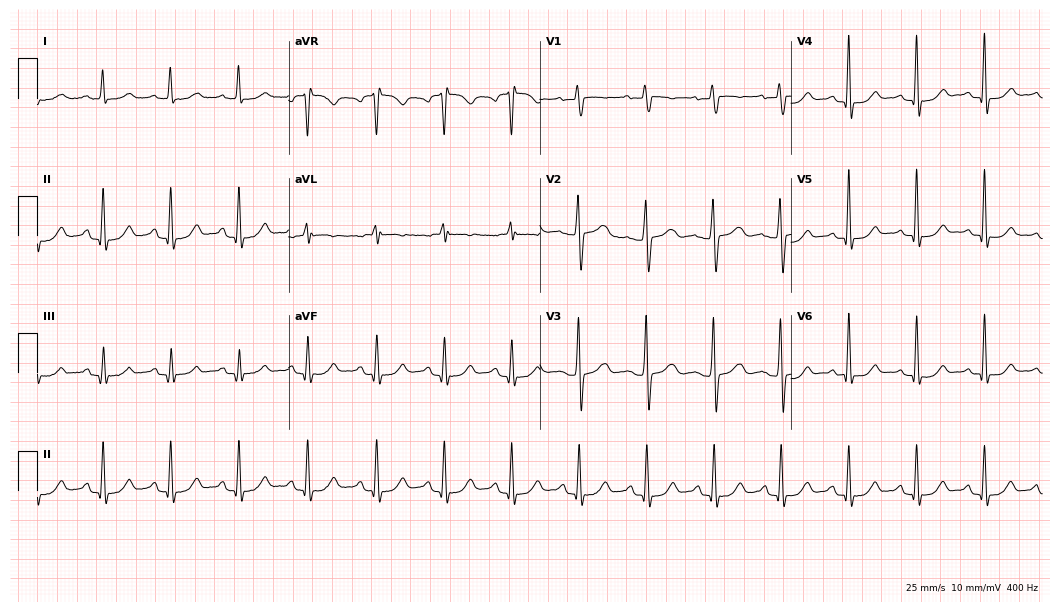
Standard 12-lead ECG recorded from a woman, 63 years old (10.2-second recording at 400 Hz). Read as a normal ECG.